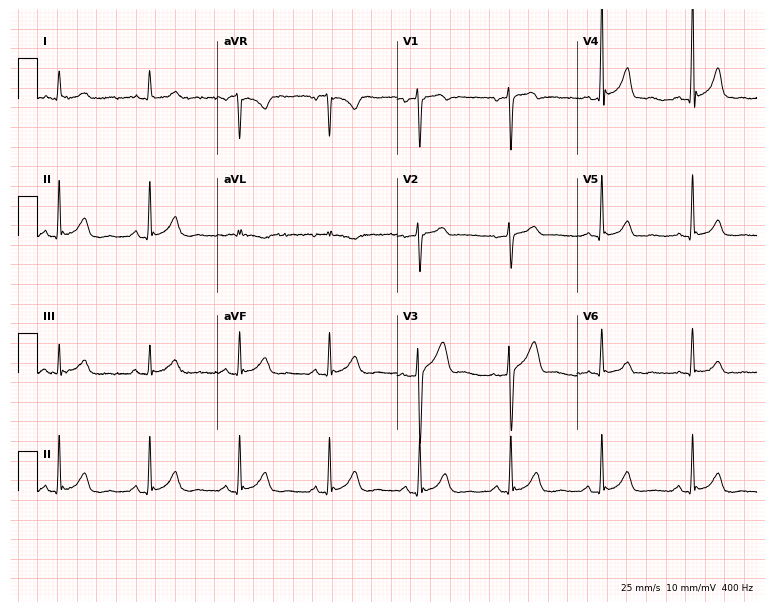
Electrocardiogram (7.3-second recording at 400 Hz), a female patient, 64 years old. Overall reading on record: normal ECG.